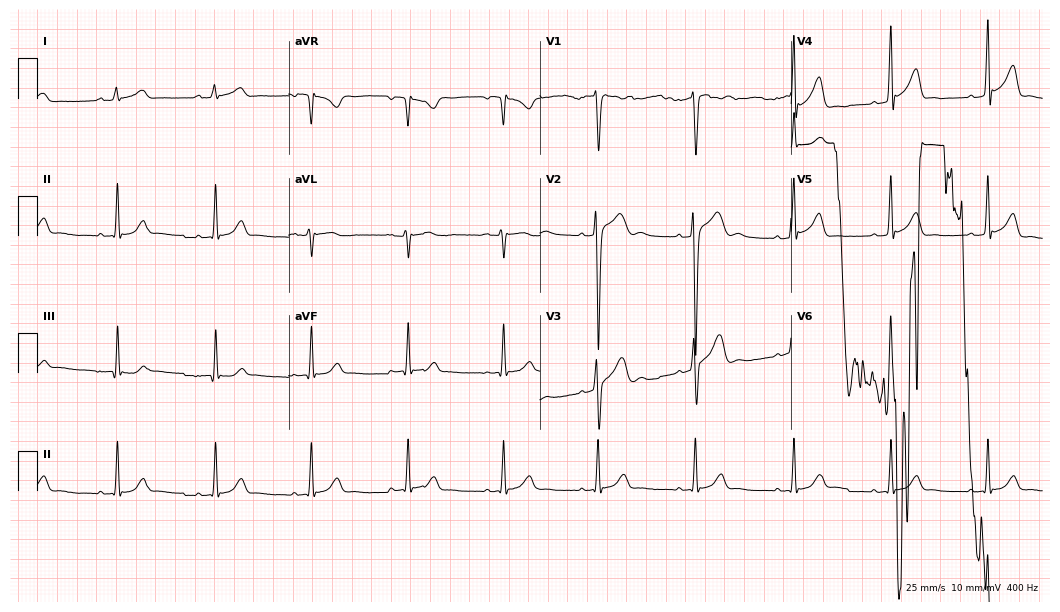
12-lead ECG (10.2-second recording at 400 Hz) from a male, 32 years old. Screened for six findings — first-degree AV block, right bundle branch block, left bundle branch block, sinus bradycardia, atrial fibrillation, sinus tachycardia — none is recorded.